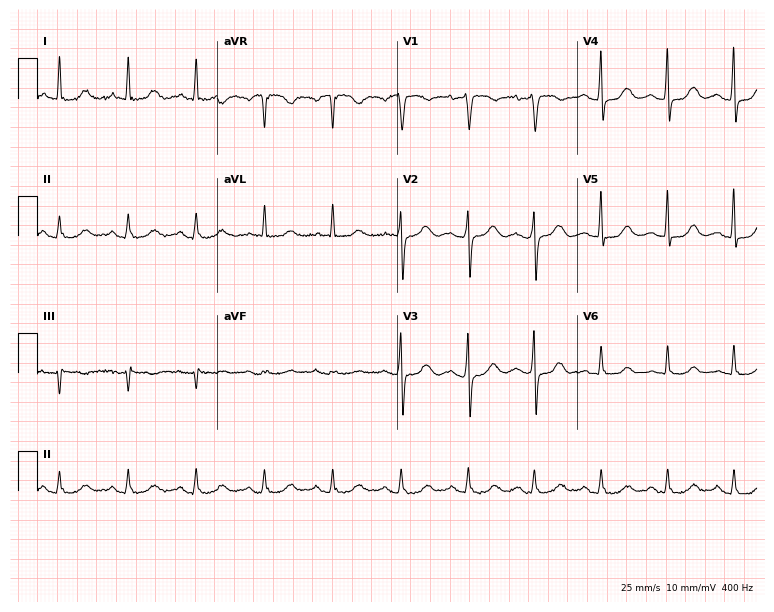
Resting 12-lead electrocardiogram. Patient: a female, 68 years old. None of these six findings is recorded: first-degree AV block, right bundle branch block, left bundle branch block, sinus bradycardia, atrial fibrillation, sinus tachycardia. Other findings, if any, are not listed.